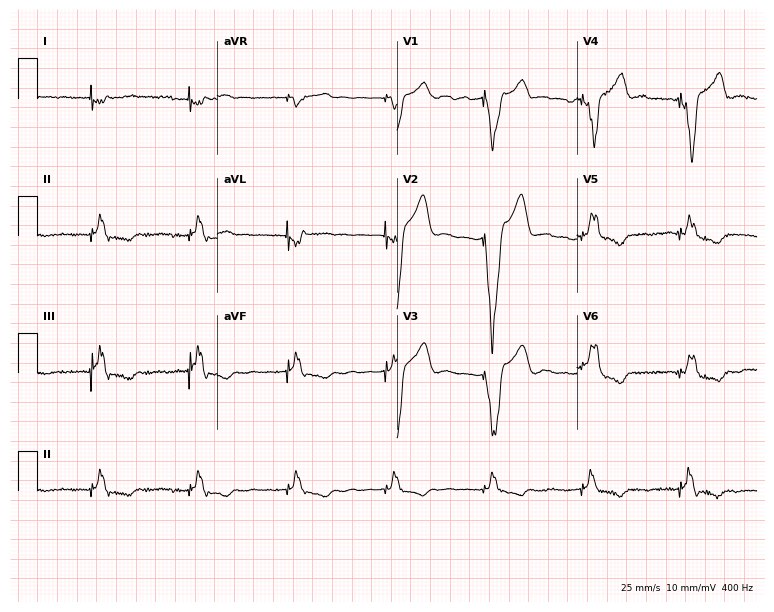
12-lead ECG from a male patient, 76 years old (7.3-second recording at 400 Hz). No first-degree AV block, right bundle branch block, left bundle branch block, sinus bradycardia, atrial fibrillation or sinus tachycardia recorded for this tracing.